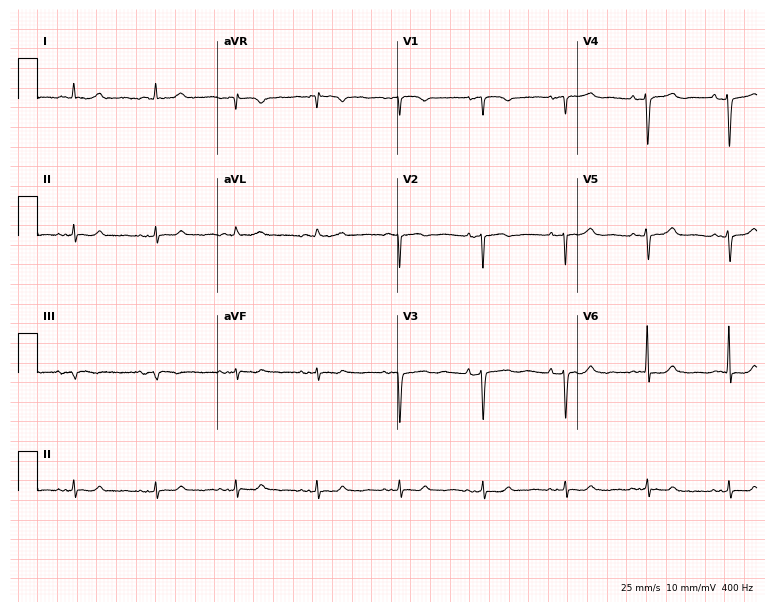
ECG (7.3-second recording at 400 Hz) — a female patient, 84 years old. Screened for six findings — first-degree AV block, right bundle branch block, left bundle branch block, sinus bradycardia, atrial fibrillation, sinus tachycardia — none is recorded. Only these six findings were labelled.